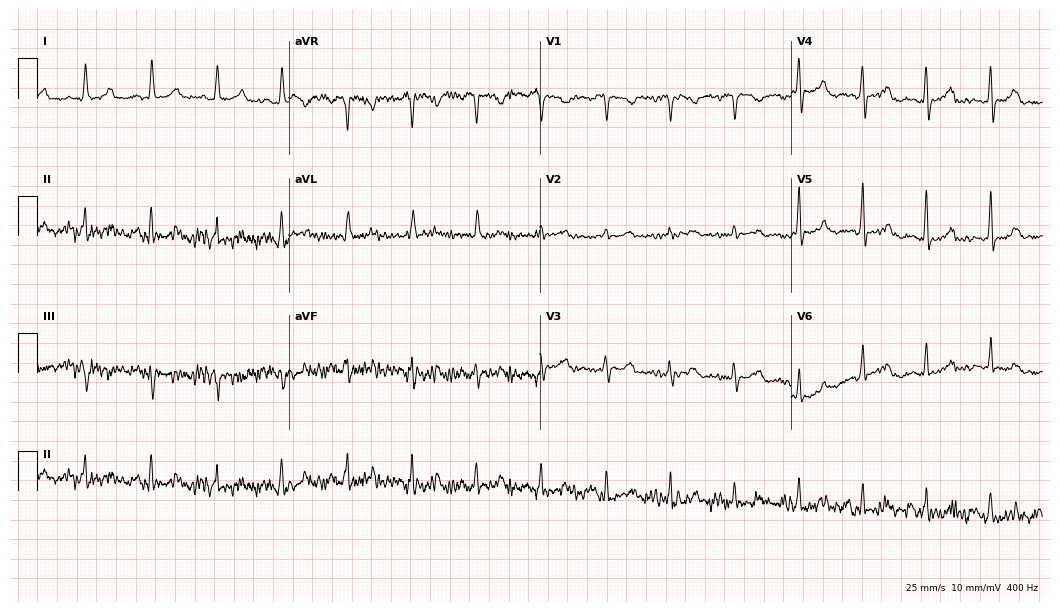
Electrocardiogram, a woman, 59 years old. Of the six screened findings (first-degree AV block, right bundle branch block, left bundle branch block, sinus bradycardia, atrial fibrillation, sinus tachycardia), none is recorded.